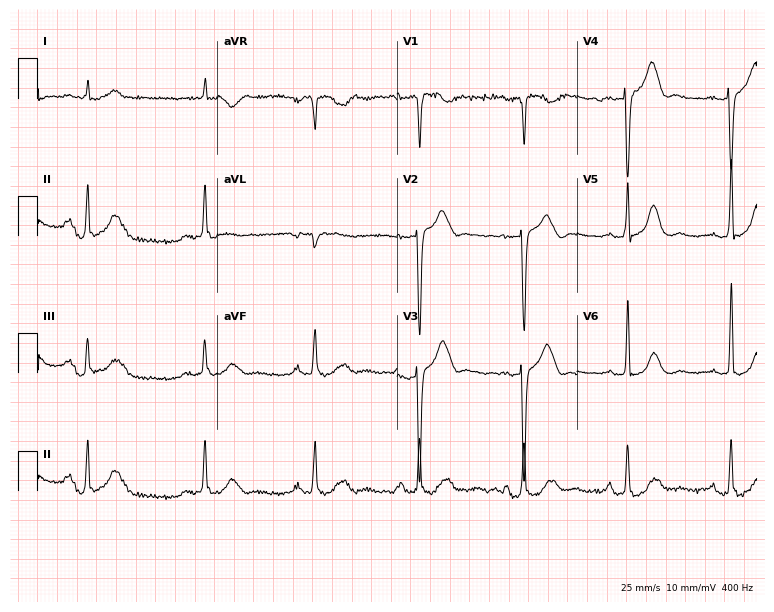
Standard 12-lead ECG recorded from a male patient, 79 years old. Read as a normal ECG.